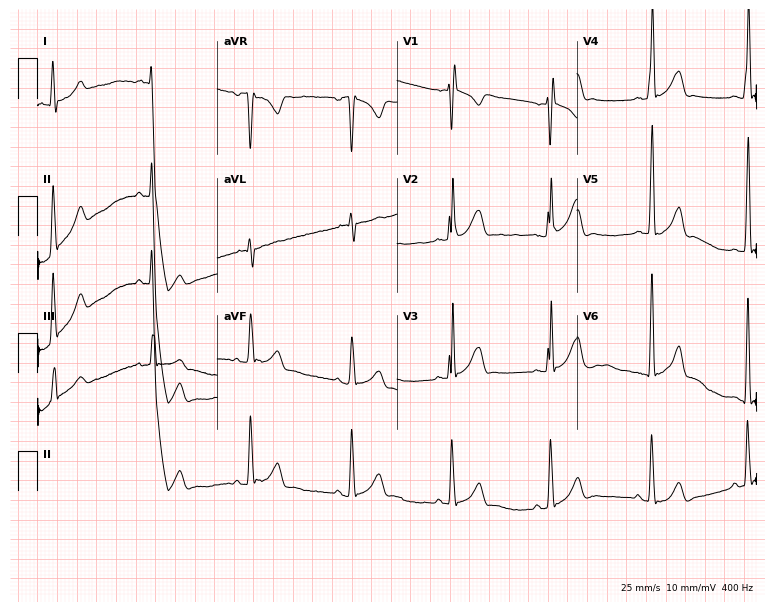
Resting 12-lead electrocardiogram. Patient: an 18-year-old female. None of these six findings is recorded: first-degree AV block, right bundle branch block (RBBB), left bundle branch block (LBBB), sinus bradycardia, atrial fibrillation (AF), sinus tachycardia. Only these six findings were labelled.